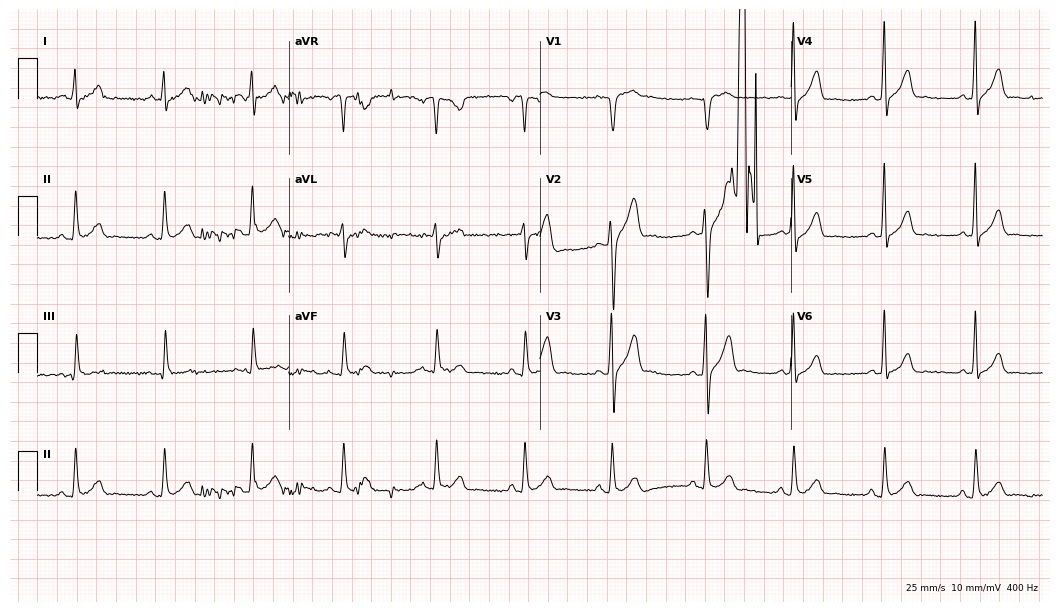
ECG — a male patient, 26 years old. Screened for six findings — first-degree AV block, right bundle branch block (RBBB), left bundle branch block (LBBB), sinus bradycardia, atrial fibrillation (AF), sinus tachycardia — none is recorded. Only these six findings were labelled.